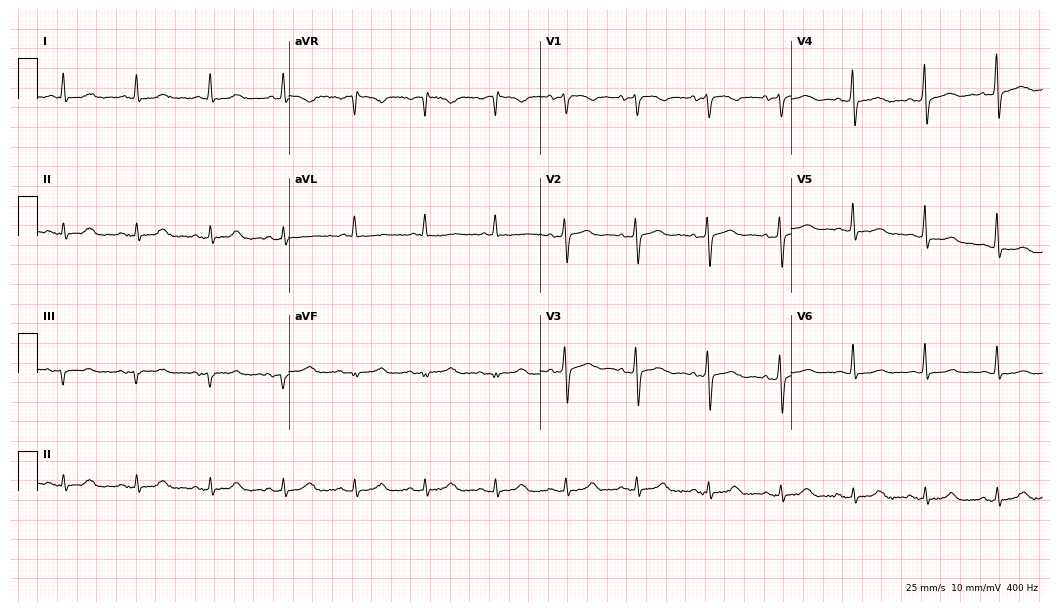
Resting 12-lead electrocardiogram (10.2-second recording at 400 Hz). Patient: a 61-year-old woman. Read as a normal ECG.